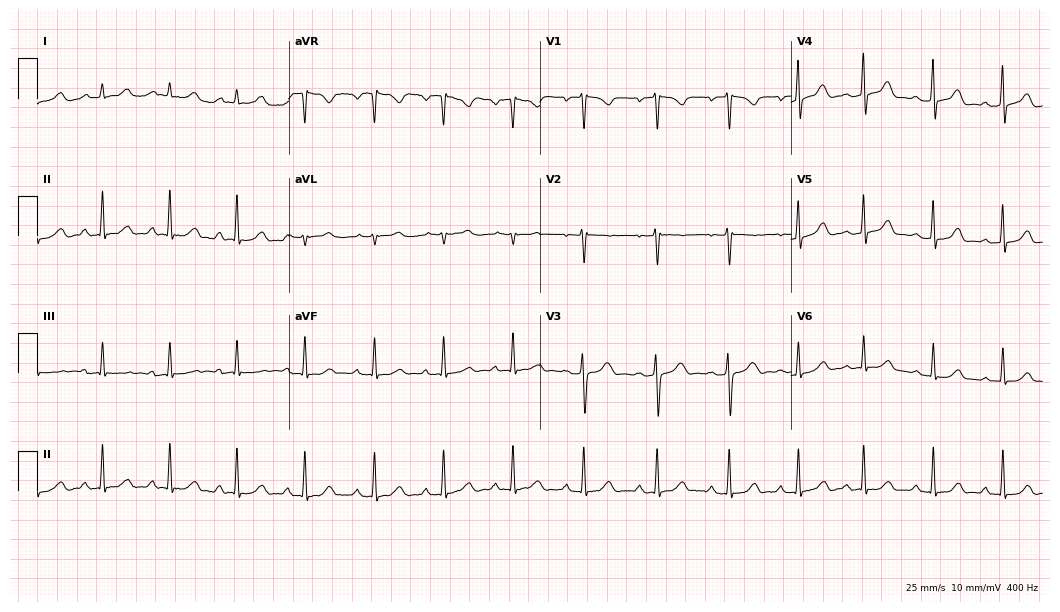
Electrocardiogram, a 20-year-old woman. Overall reading on record: normal ECG.